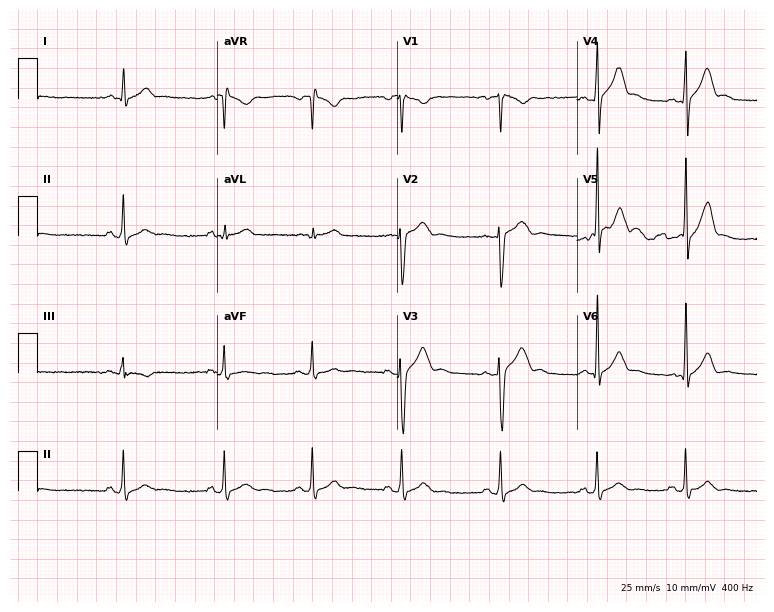
12-lead ECG (7.3-second recording at 400 Hz) from a male patient, 25 years old. Labelled as a normal ECG.